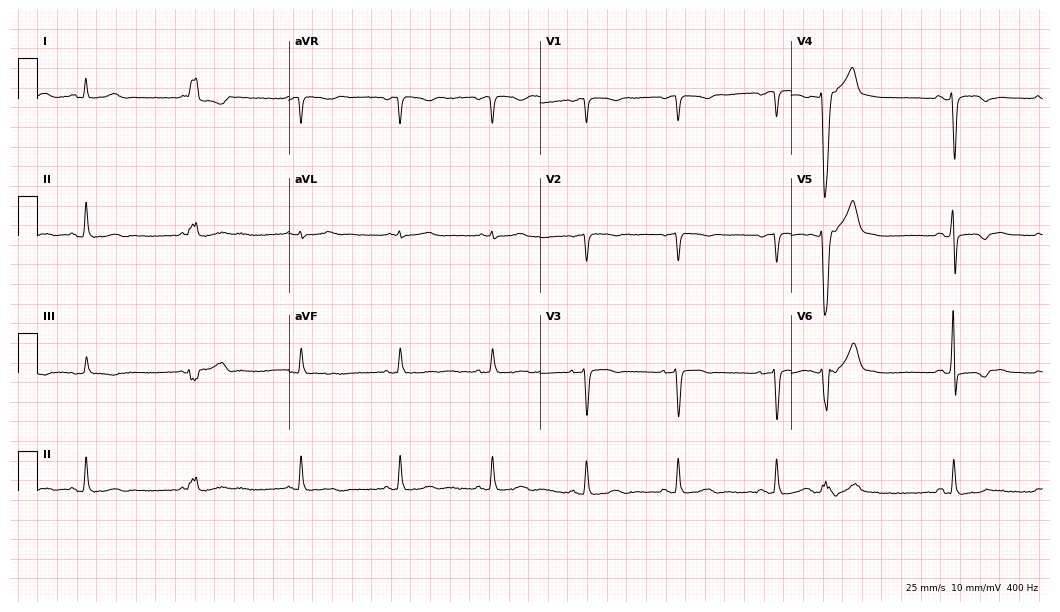
12-lead ECG from a female, 51 years old. No first-degree AV block, right bundle branch block (RBBB), left bundle branch block (LBBB), sinus bradycardia, atrial fibrillation (AF) or sinus tachycardia recorded for this tracing.